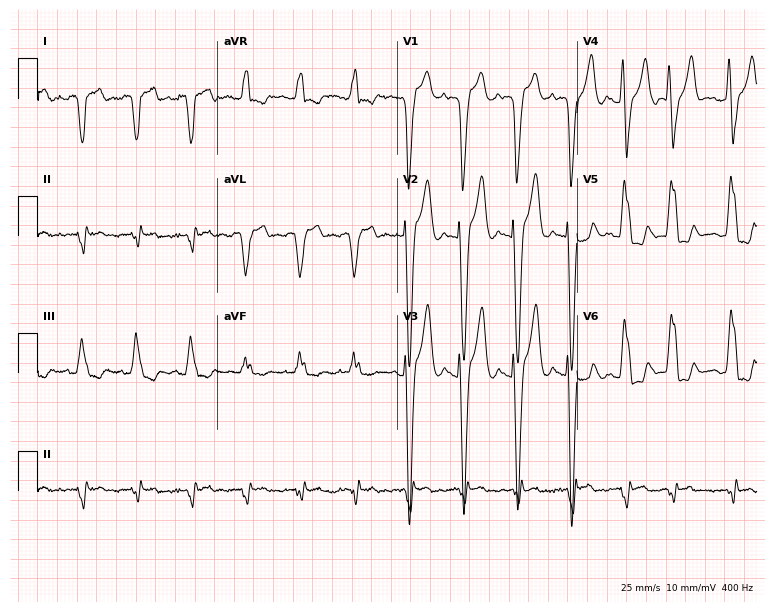
Standard 12-lead ECG recorded from a female patient, 83 years old. The tracing shows left bundle branch block (LBBB).